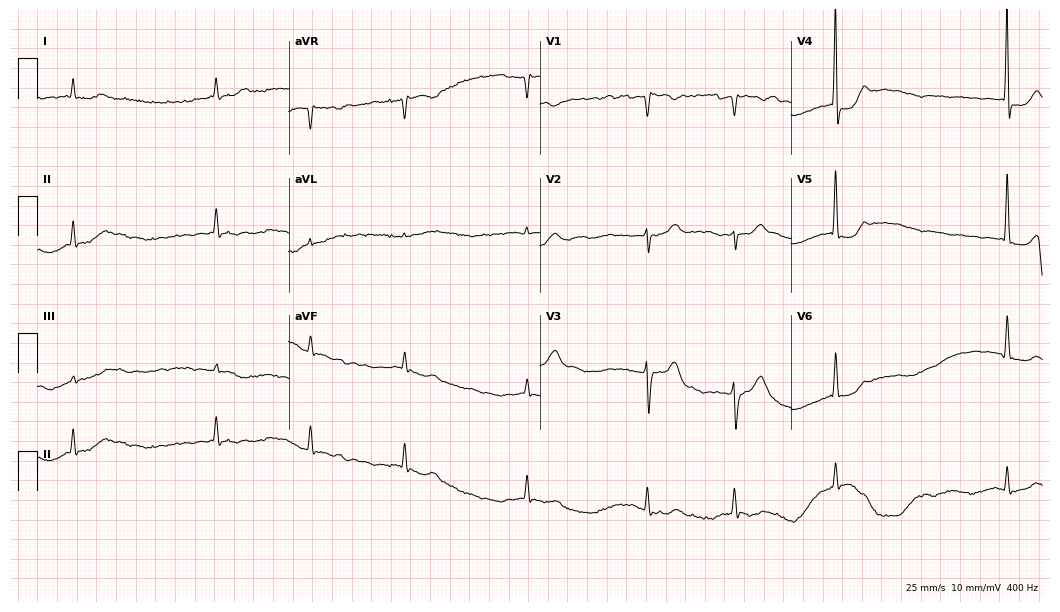
Resting 12-lead electrocardiogram (10.2-second recording at 400 Hz). Patient: an 83-year-old male. The tracing shows atrial fibrillation (AF).